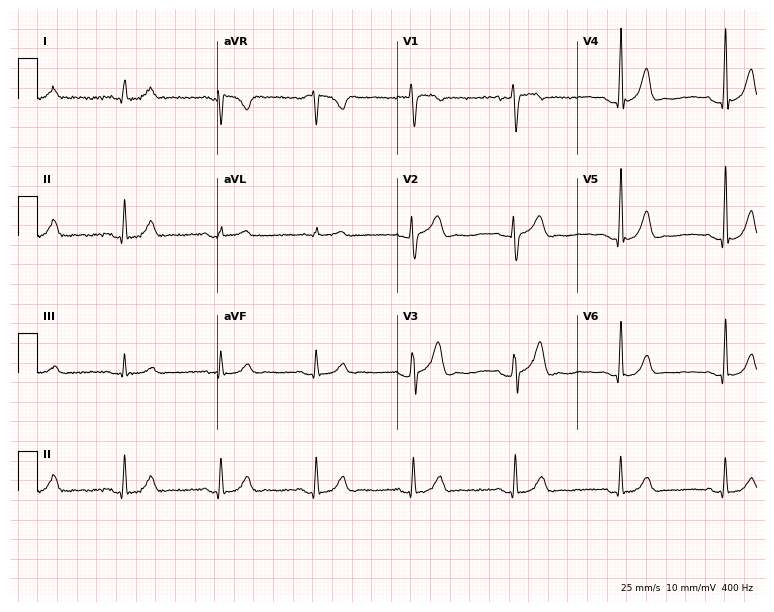
Electrocardiogram (7.3-second recording at 400 Hz), a 41-year-old male. Overall reading on record: normal ECG.